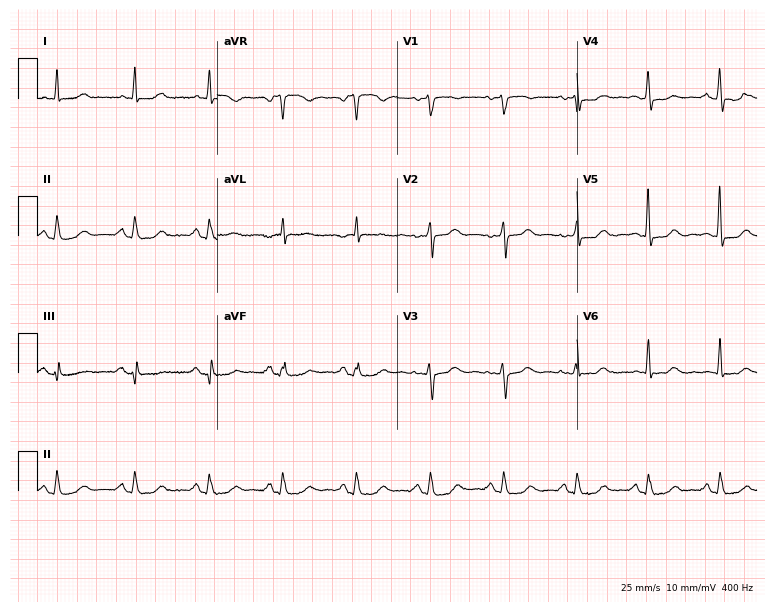
Electrocardiogram (7.3-second recording at 400 Hz), a female, 57 years old. Of the six screened findings (first-degree AV block, right bundle branch block (RBBB), left bundle branch block (LBBB), sinus bradycardia, atrial fibrillation (AF), sinus tachycardia), none is recorded.